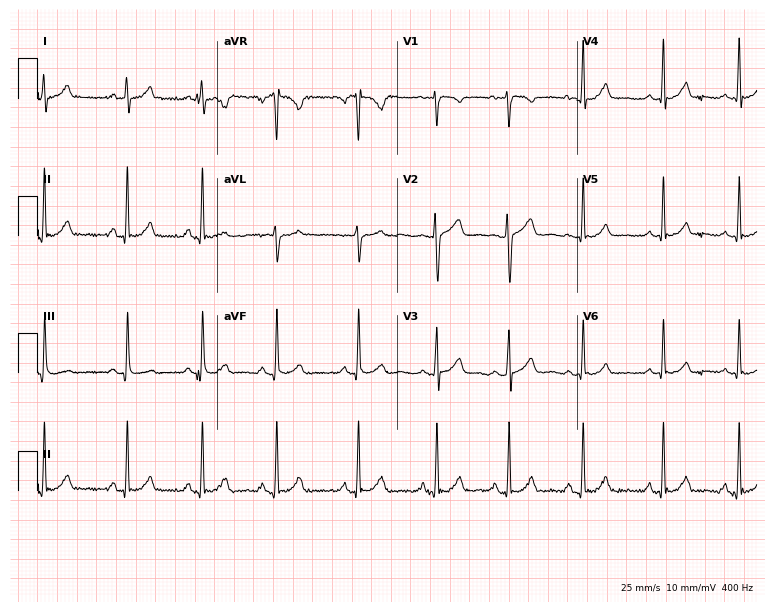
12-lead ECG from a female patient, 20 years old. Recorded interpretation: within normal limits.